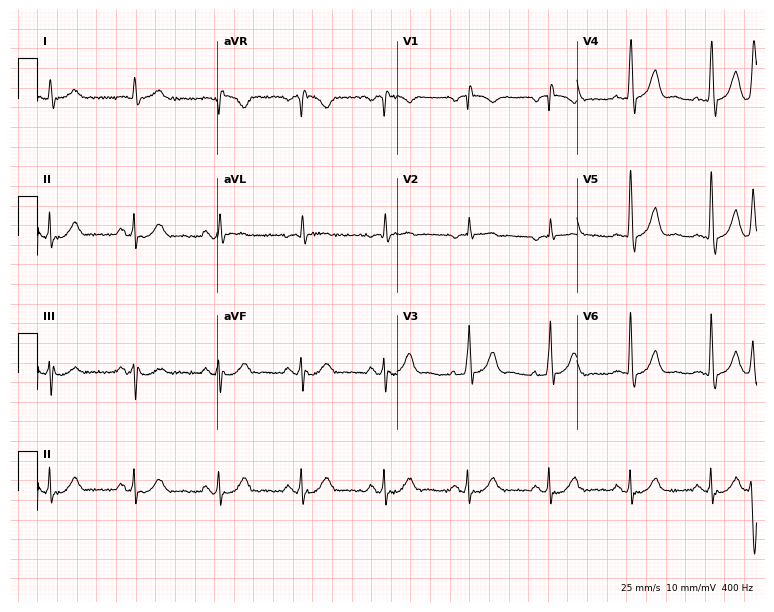
Electrocardiogram, an 82-year-old man. Of the six screened findings (first-degree AV block, right bundle branch block (RBBB), left bundle branch block (LBBB), sinus bradycardia, atrial fibrillation (AF), sinus tachycardia), none is recorded. Only these six findings were labelled.